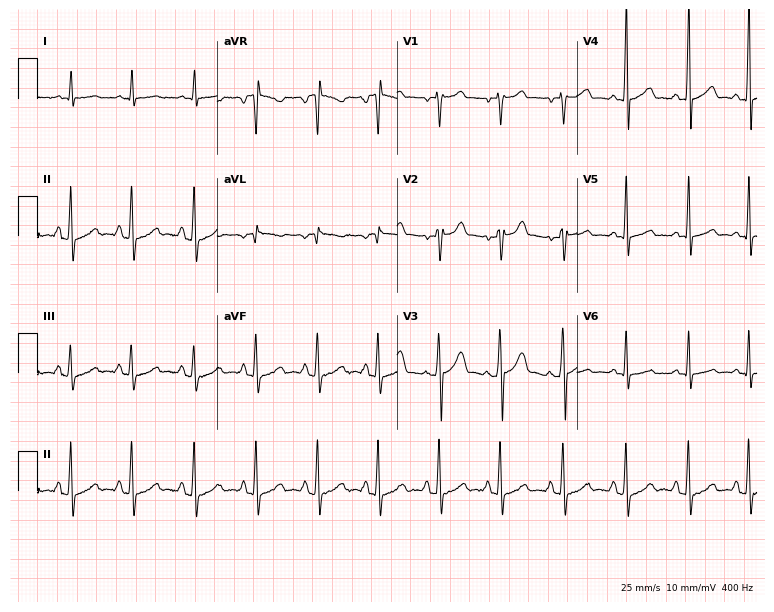
12-lead ECG from a 37-year-old male patient (7.3-second recording at 400 Hz). No first-degree AV block, right bundle branch block (RBBB), left bundle branch block (LBBB), sinus bradycardia, atrial fibrillation (AF) or sinus tachycardia recorded for this tracing.